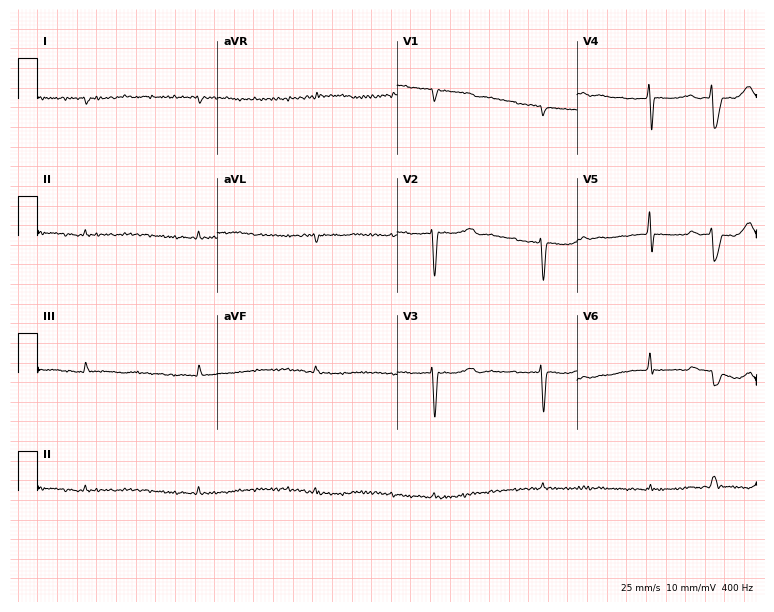
12-lead ECG from a male, 40 years old (7.3-second recording at 400 Hz). No first-degree AV block, right bundle branch block (RBBB), left bundle branch block (LBBB), sinus bradycardia, atrial fibrillation (AF) or sinus tachycardia recorded for this tracing.